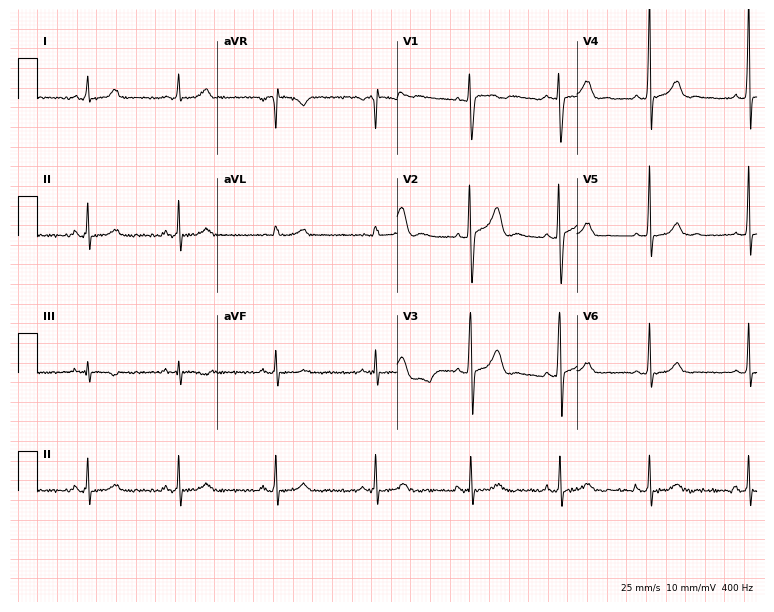
12-lead ECG (7.3-second recording at 400 Hz) from a 28-year-old man. Labelled as a normal ECG.